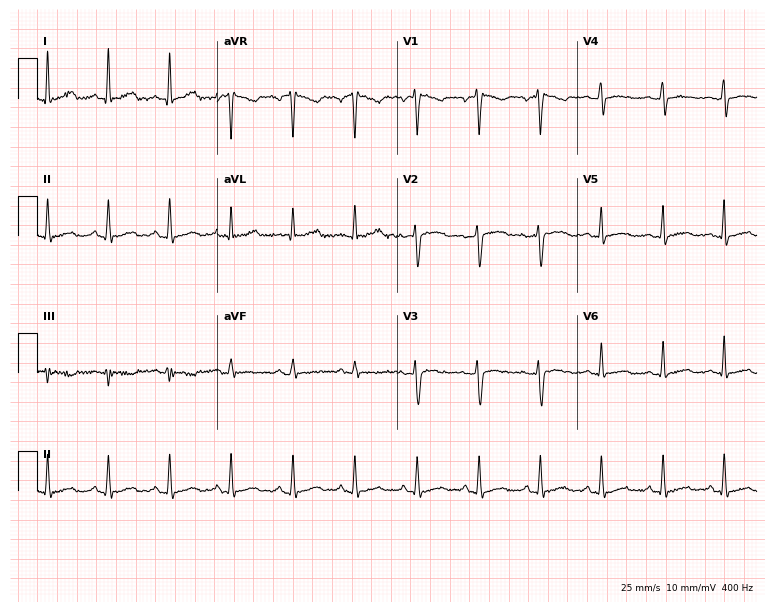
12-lead ECG from a female patient, 37 years old. Screened for six findings — first-degree AV block, right bundle branch block (RBBB), left bundle branch block (LBBB), sinus bradycardia, atrial fibrillation (AF), sinus tachycardia — none is recorded.